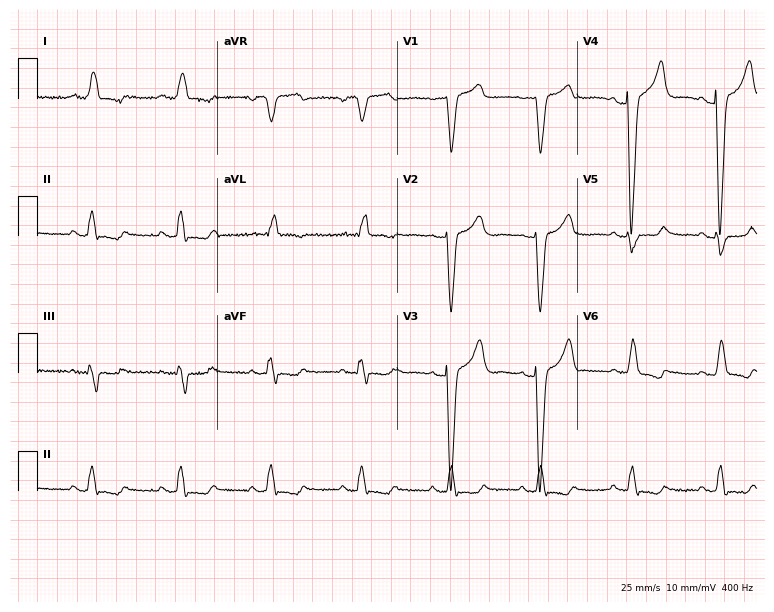
12-lead ECG from a female patient, 75 years old. Findings include left bundle branch block (LBBB).